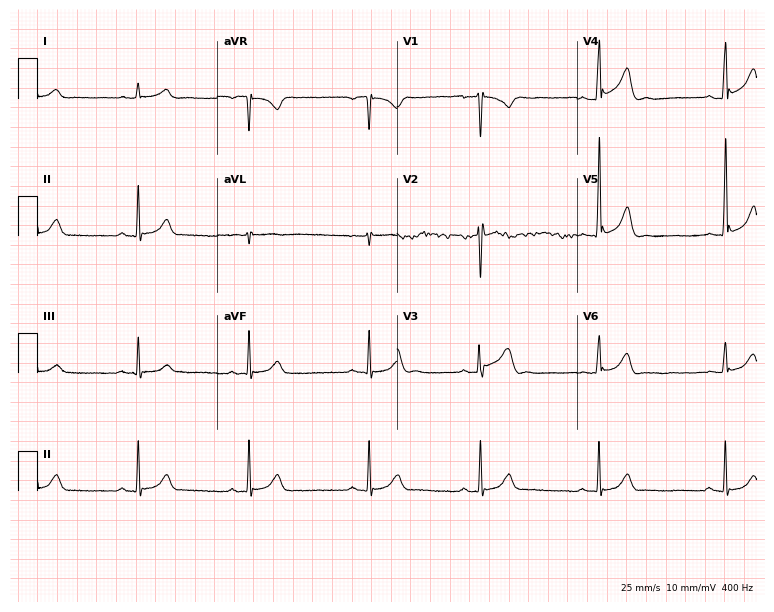
Electrocardiogram (7.3-second recording at 400 Hz), a 31-year-old man. Interpretation includes sinus bradycardia (a sinus rate of 50 beats per minute or less).